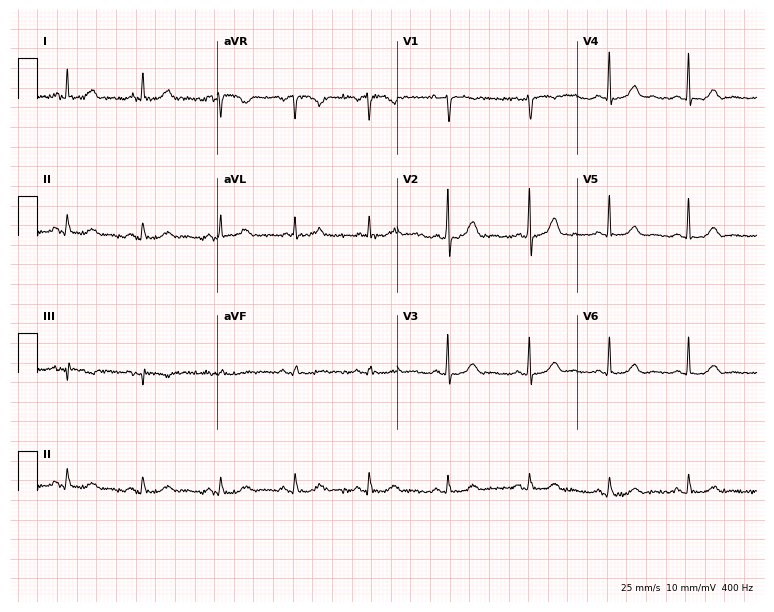
ECG (7.3-second recording at 400 Hz) — a female, 69 years old. Labelled as a normal ECG.